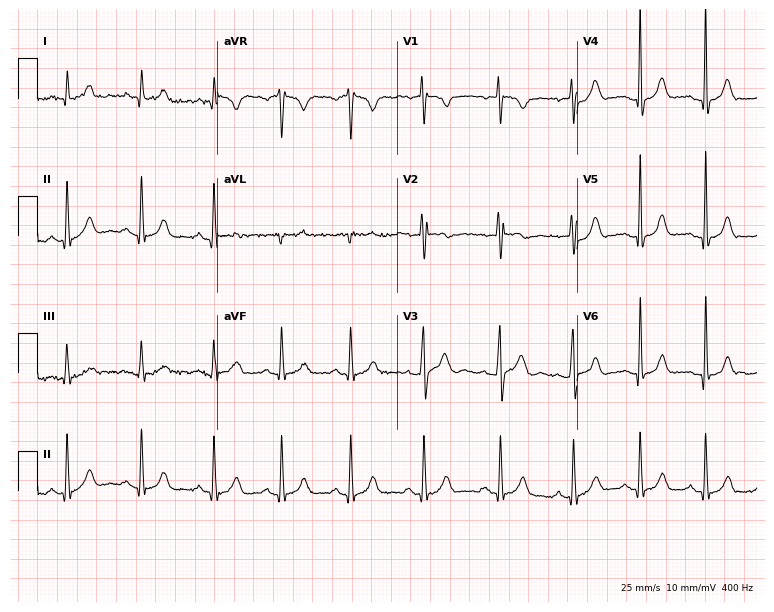
Resting 12-lead electrocardiogram (7.3-second recording at 400 Hz). Patient: an 18-year-old woman. Read as a normal ECG.